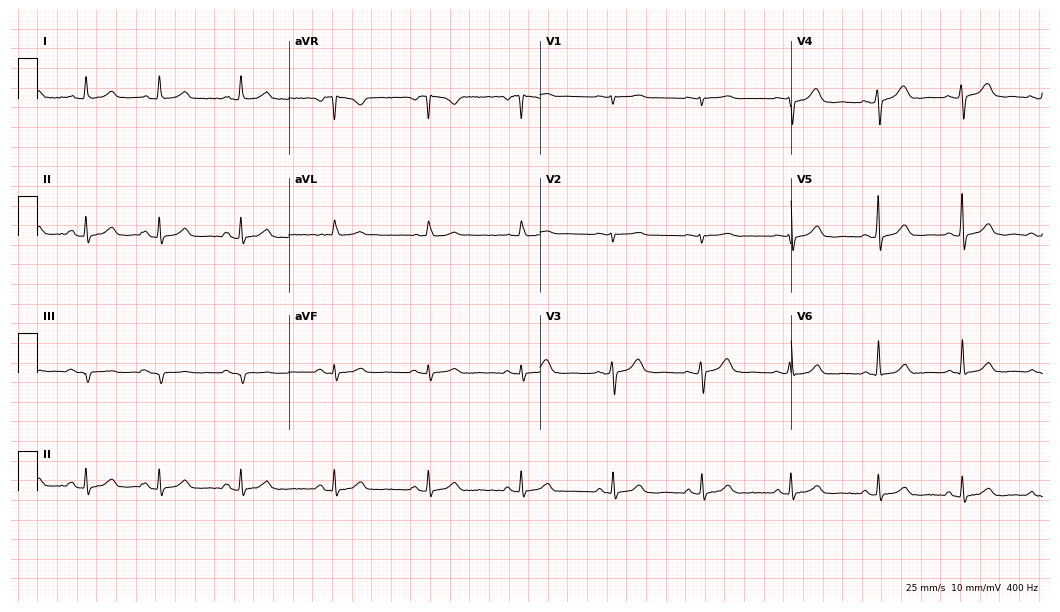
Standard 12-lead ECG recorded from a female, 60 years old (10.2-second recording at 400 Hz). Read as a normal ECG.